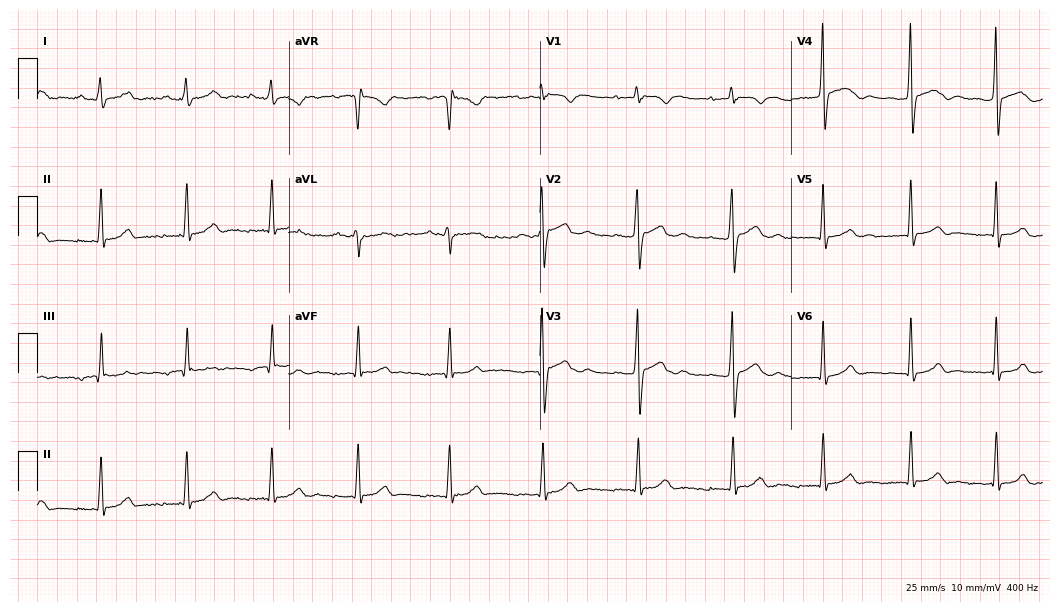
ECG (10.2-second recording at 400 Hz) — a male patient, 21 years old. Labelled as a normal ECG.